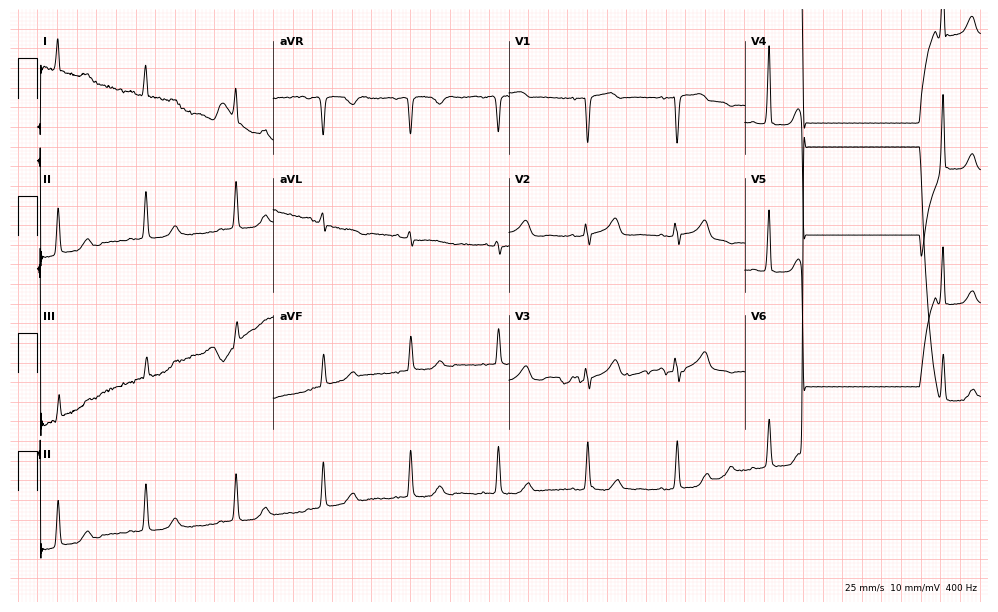
Resting 12-lead electrocardiogram (9.6-second recording at 400 Hz). Patient: a 79-year-old woman. None of these six findings is recorded: first-degree AV block, right bundle branch block (RBBB), left bundle branch block (LBBB), sinus bradycardia, atrial fibrillation (AF), sinus tachycardia.